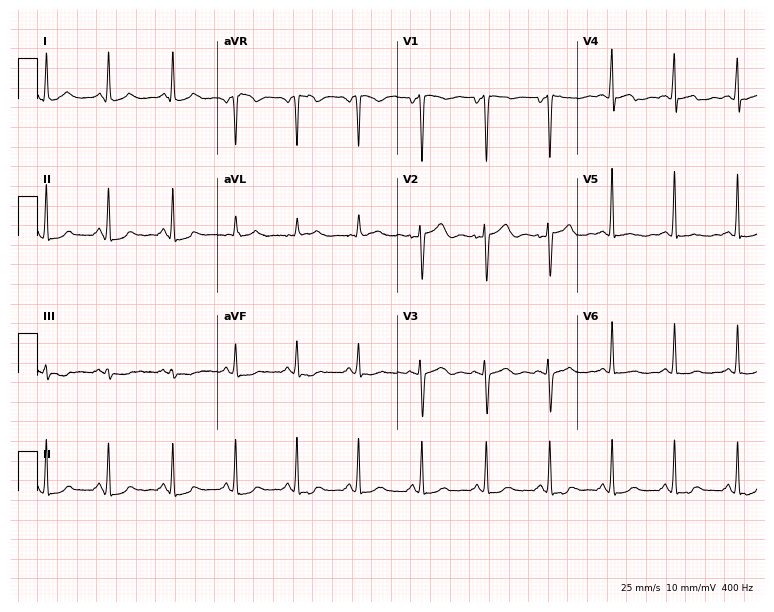
12-lead ECG from a male, 37 years old. No first-degree AV block, right bundle branch block, left bundle branch block, sinus bradycardia, atrial fibrillation or sinus tachycardia recorded for this tracing.